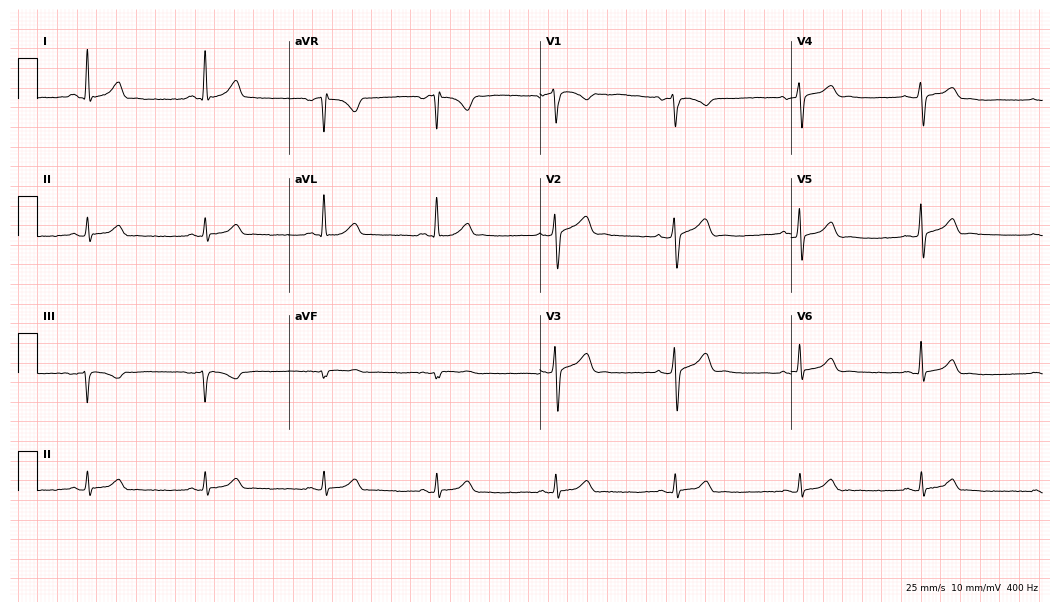
Electrocardiogram (10.2-second recording at 400 Hz), a 57-year-old male. Overall reading on record: normal ECG.